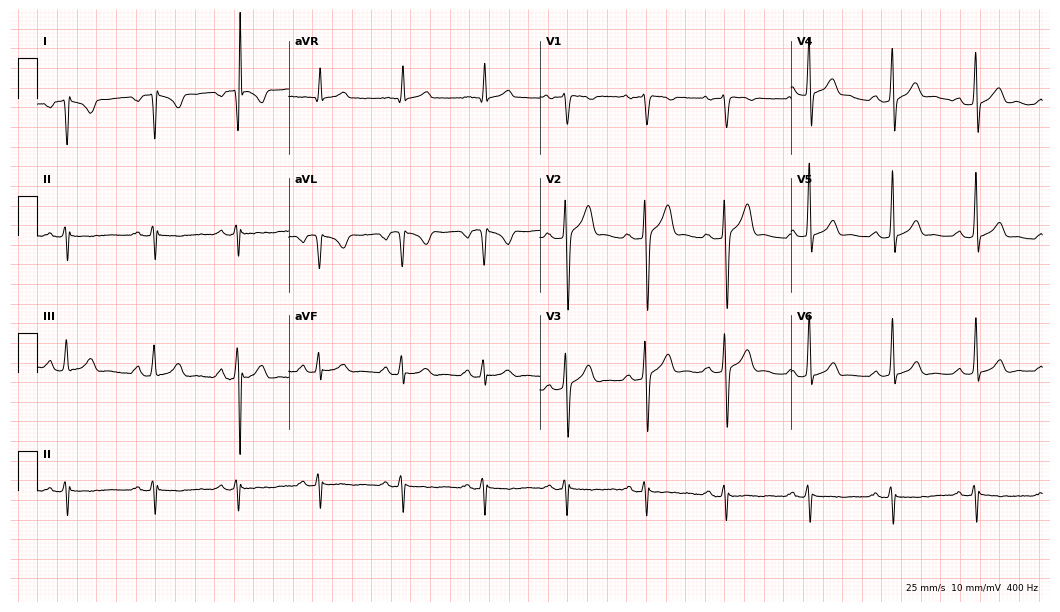
ECG (10.2-second recording at 400 Hz) — a 42-year-old male patient. Screened for six findings — first-degree AV block, right bundle branch block, left bundle branch block, sinus bradycardia, atrial fibrillation, sinus tachycardia — none is recorded. Other findings, if any, are not listed.